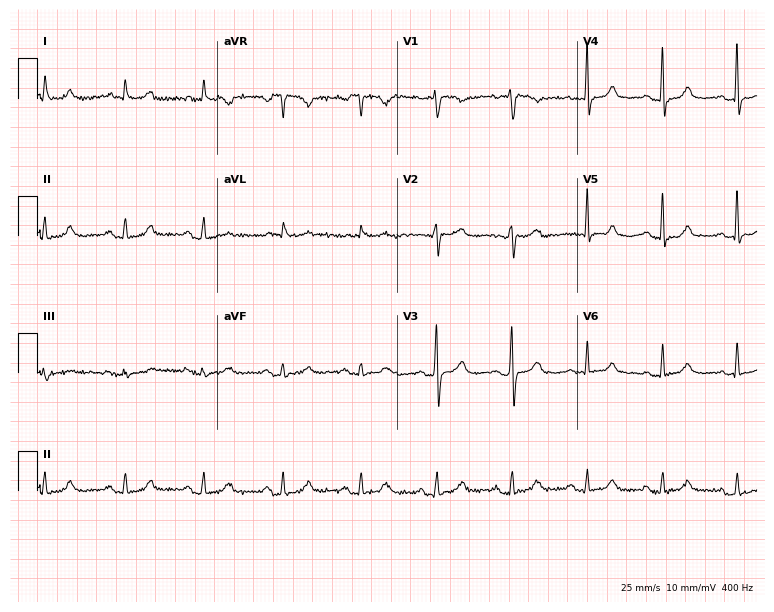
12-lead ECG (7.3-second recording at 400 Hz) from a 53-year-old female patient. Labelled as a normal ECG.